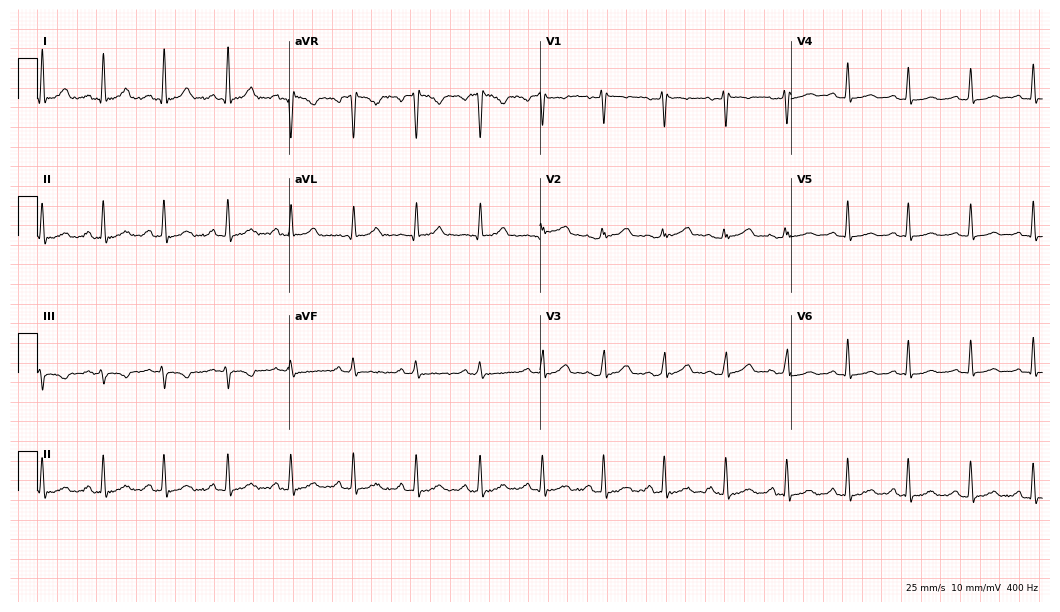
12-lead ECG (10.2-second recording at 400 Hz) from a 35-year-old female patient. Screened for six findings — first-degree AV block, right bundle branch block, left bundle branch block, sinus bradycardia, atrial fibrillation, sinus tachycardia — none is recorded. Only these six findings were labelled.